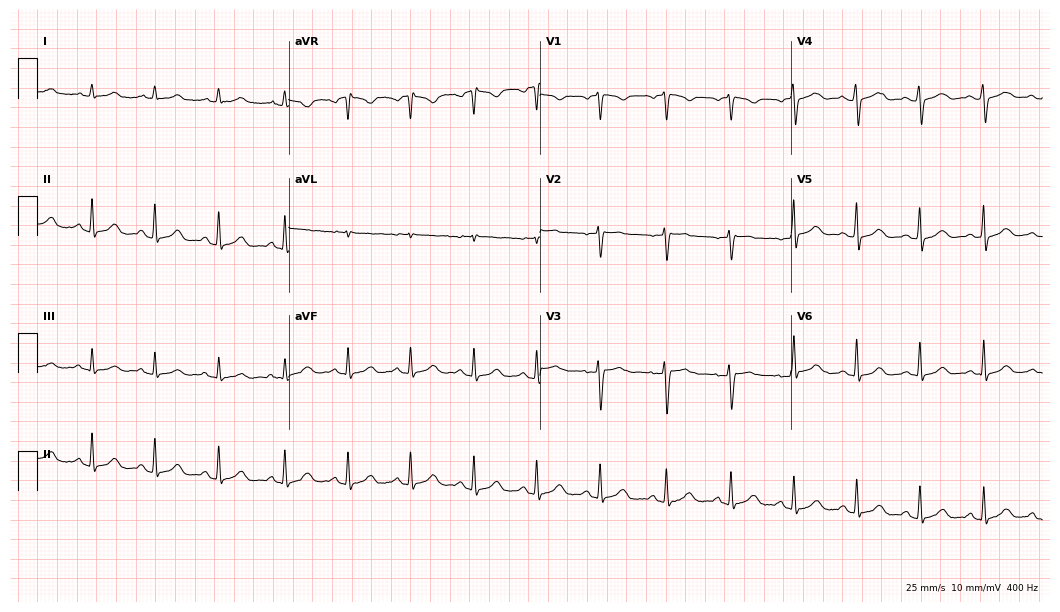
12-lead ECG from a female, 47 years old (10.2-second recording at 400 Hz). Recorded interpretation: within normal limits.